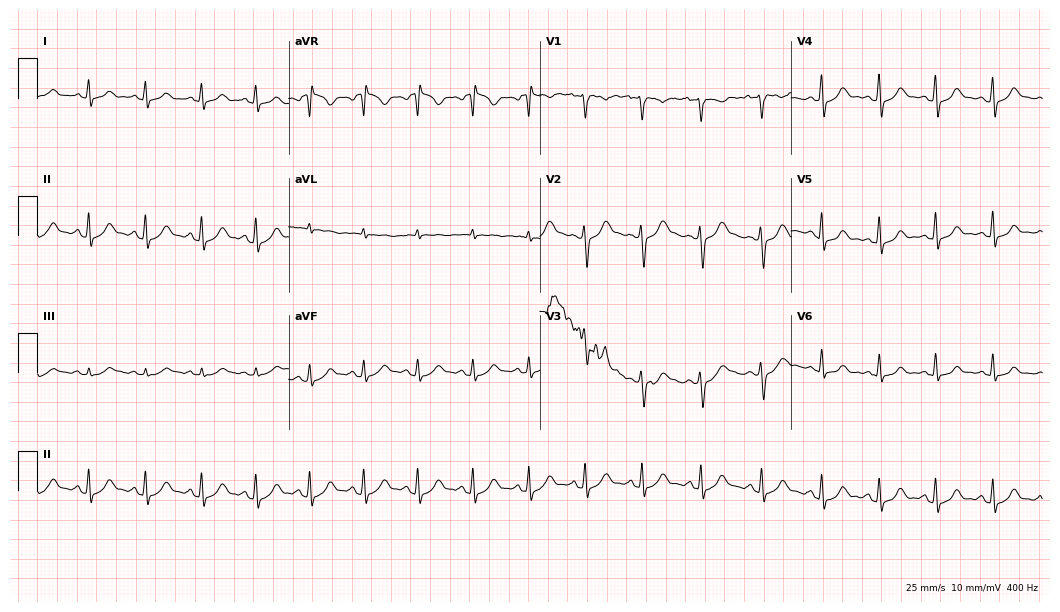
ECG — a female, 28 years old. Findings include sinus tachycardia (a sinus rate of 100 beats per minute or more).